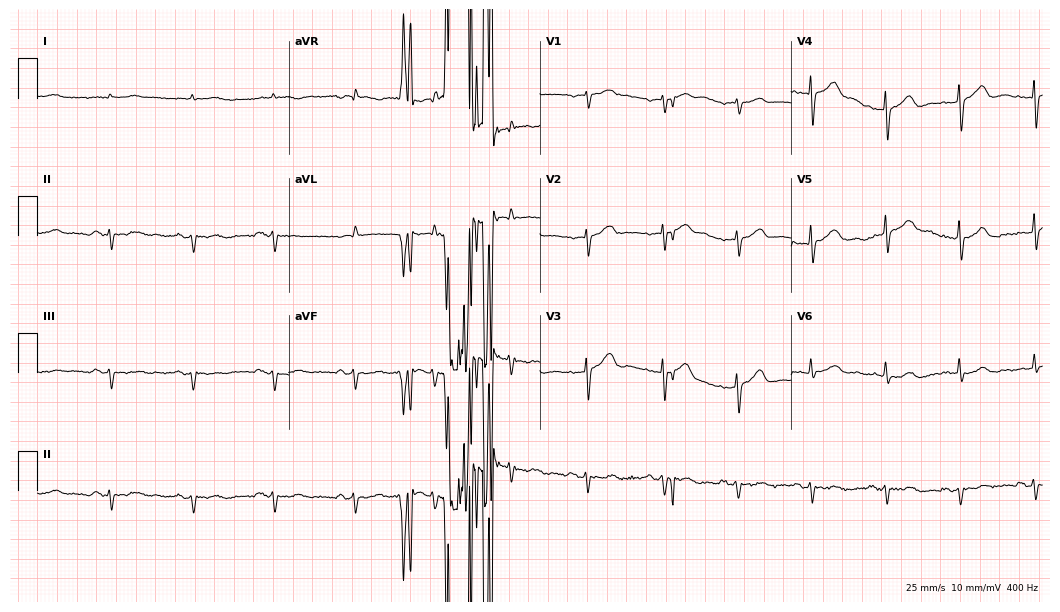
12-lead ECG (10.2-second recording at 400 Hz) from a 75-year-old man. Screened for six findings — first-degree AV block, right bundle branch block, left bundle branch block, sinus bradycardia, atrial fibrillation, sinus tachycardia — none is recorded. Findings outside these six are not listed.